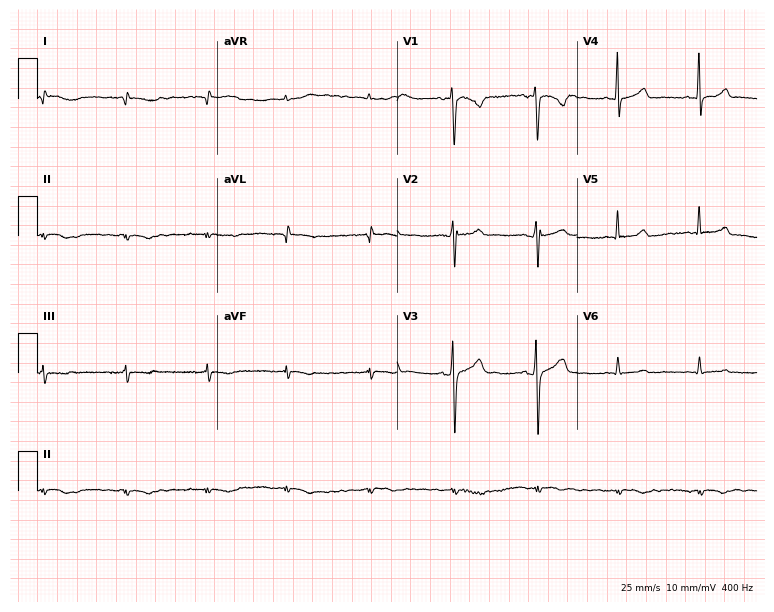
Resting 12-lead electrocardiogram (7.3-second recording at 400 Hz). Patient: a female, 31 years old. None of these six findings is recorded: first-degree AV block, right bundle branch block (RBBB), left bundle branch block (LBBB), sinus bradycardia, atrial fibrillation (AF), sinus tachycardia.